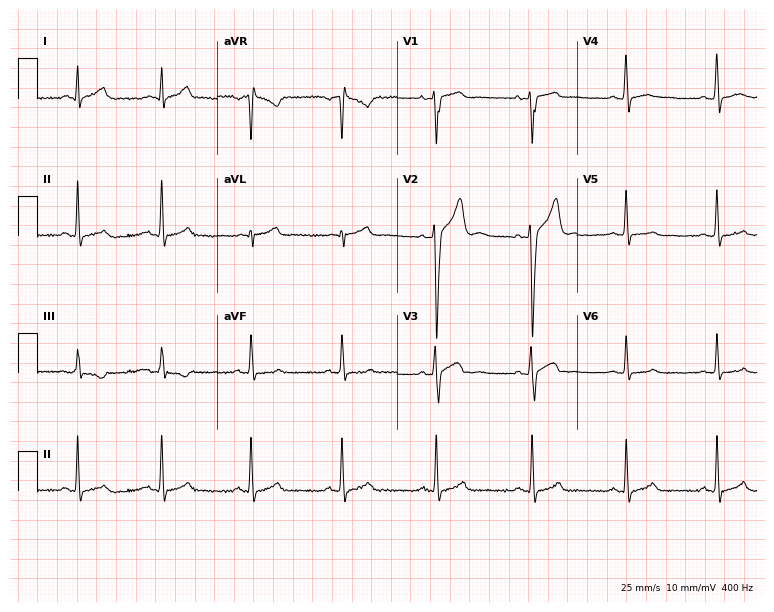
ECG — a 22-year-old male patient. Labelled as a normal ECG.